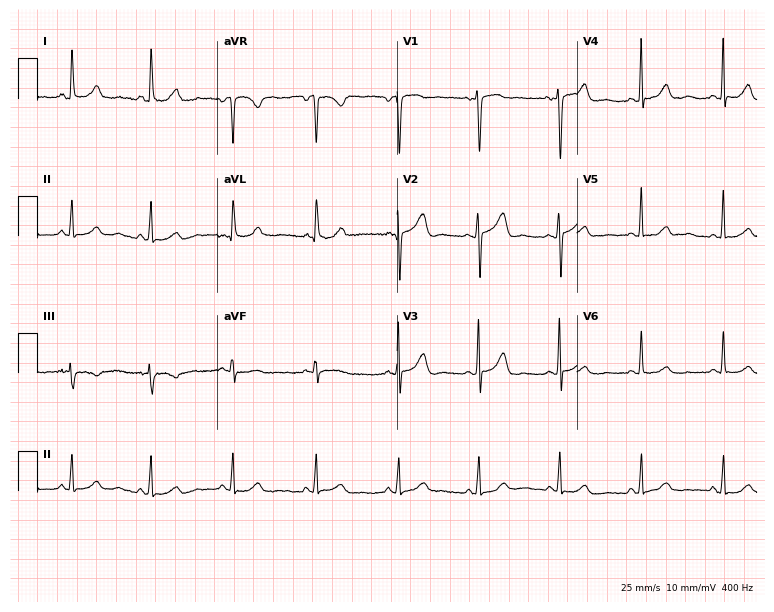
ECG — a 45-year-old female. Screened for six findings — first-degree AV block, right bundle branch block (RBBB), left bundle branch block (LBBB), sinus bradycardia, atrial fibrillation (AF), sinus tachycardia — none is recorded.